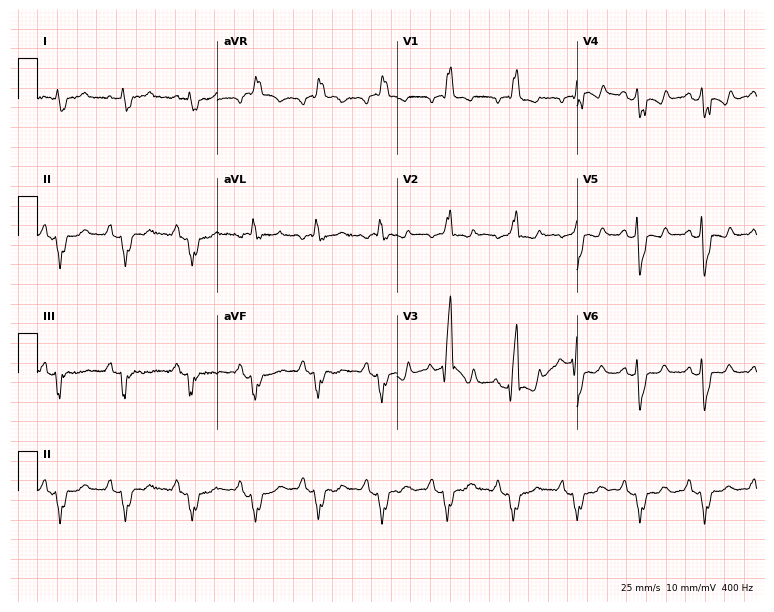
ECG (7.3-second recording at 400 Hz) — a 76-year-old woman. Findings include right bundle branch block.